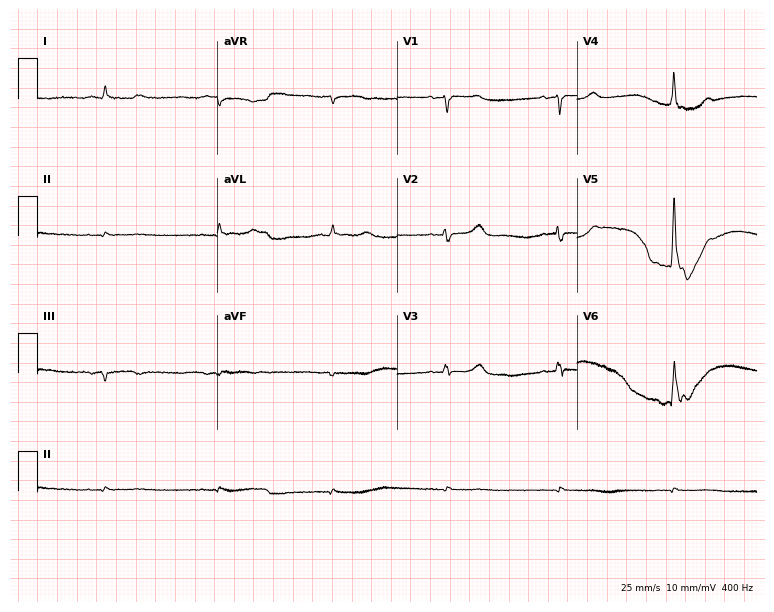
ECG (7.3-second recording at 400 Hz) — a male, 75 years old. Screened for six findings — first-degree AV block, right bundle branch block (RBBB), left bundle branch block (LBBB), sinus bradycardia, atrial fibrillation (AF), sinus tachycardia — none is recorded. Findings outside these six are not listed.